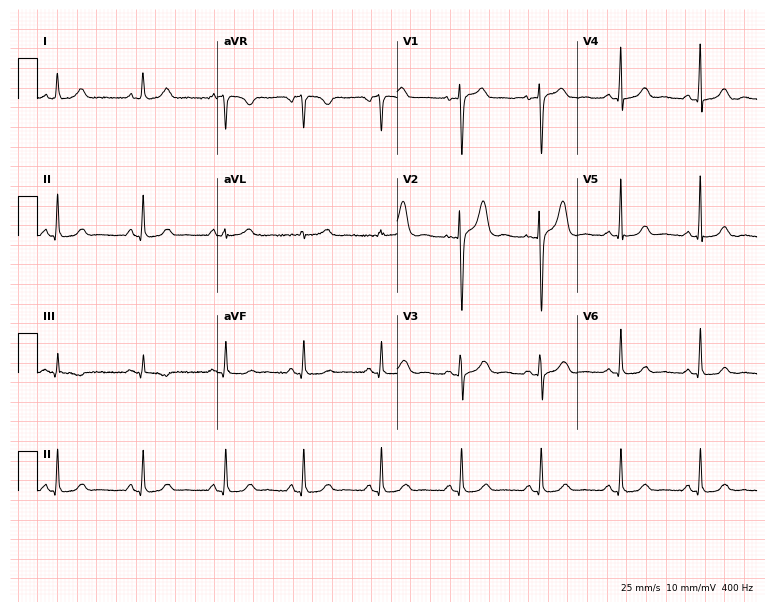
12-lead ECG from a 51-year-old female. Recorded interpretation: within normal limits.